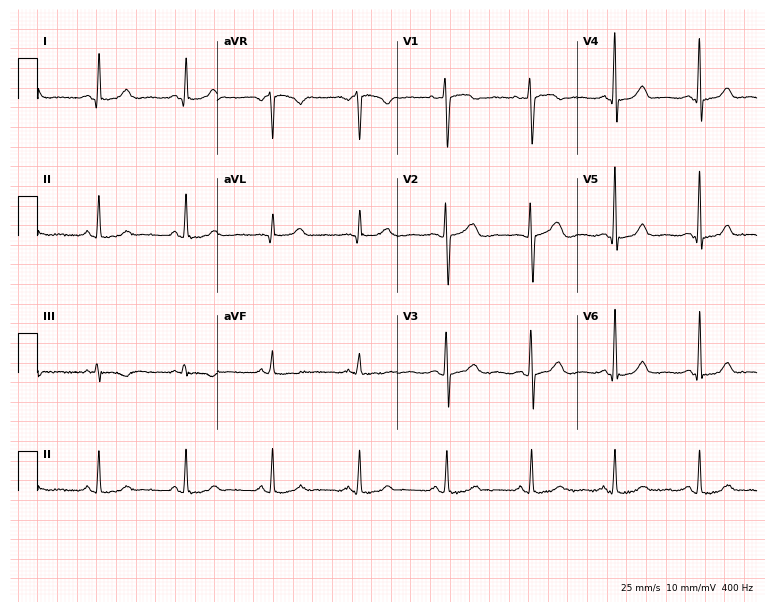
ECG — a female patient, 44 years old. Labelled as a normal ECG.